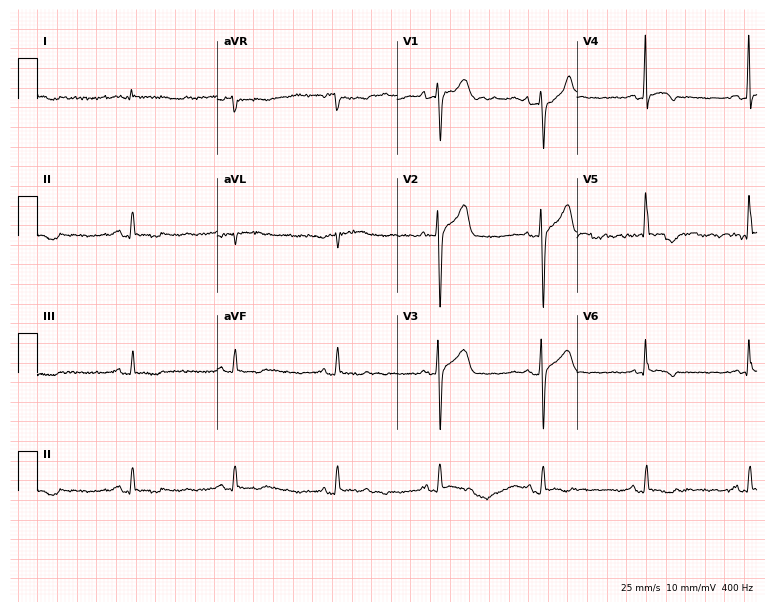
Resting 12-lead electrocardiogram. Patient: a 66-year-old male. None of these six findings is recorded: first-degree AV block, right bundle branch block, left bundle branch block, sinus bradycardia, atrial fibrillation, sinus tachycardia. Other findings, if any, are not listed.